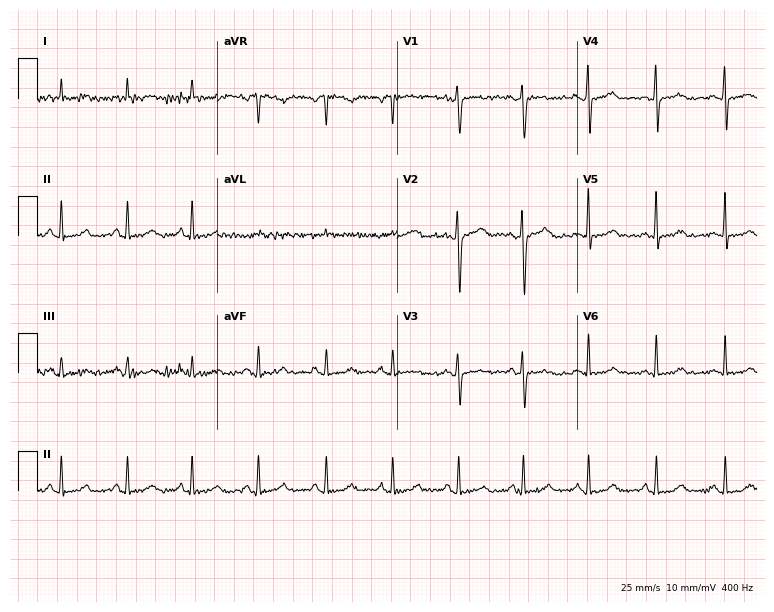
ECG (7.3-second recording at 400 Hz) — a female, 39 years old. Labelled as a normal ECG.